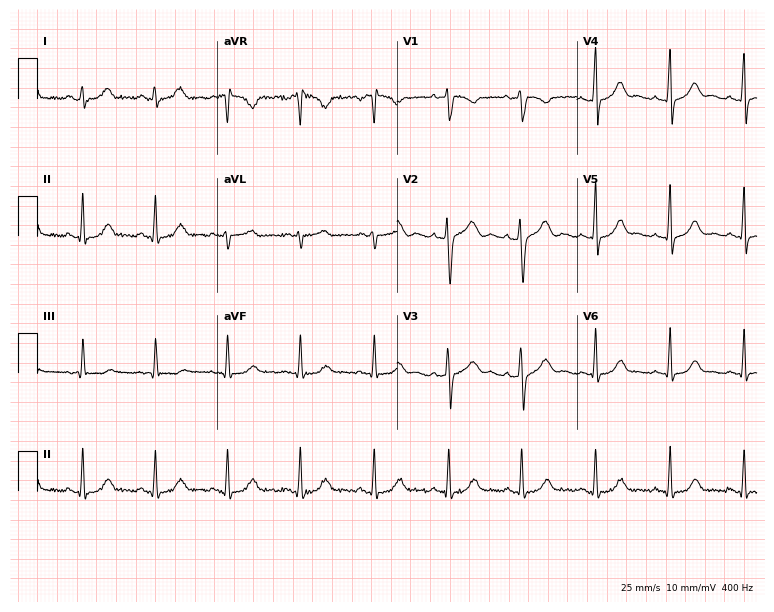
Electrocardiogram, a female, 41 years old. Overall reading on record: normal ECG.